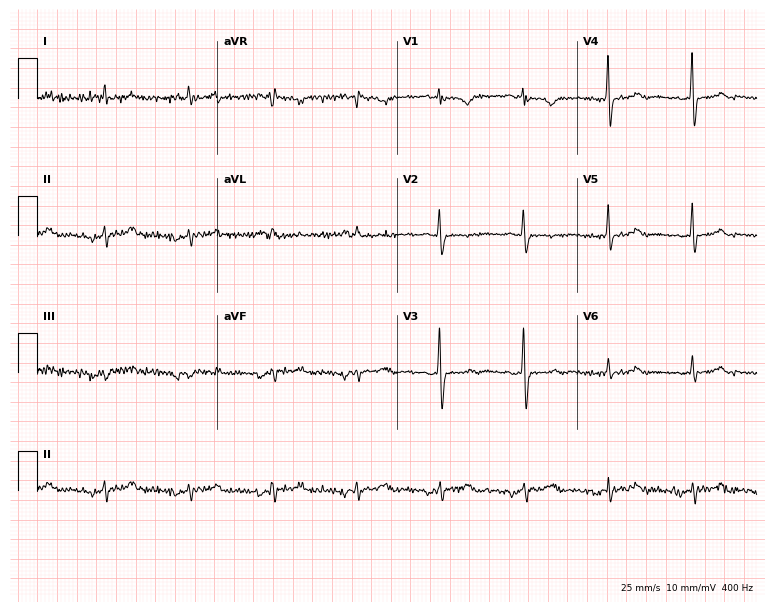
Standard 12-lead ECG recorded from a female, 72 years old (7.3-second recording at 400 Hz). None of these six findings is recorded: first-degree AV block, right bundle branch block, left bundle branch block, sinus bradycardia, atrial fibrillation, sinus tachycardia. Other findings, if any, are not listed.